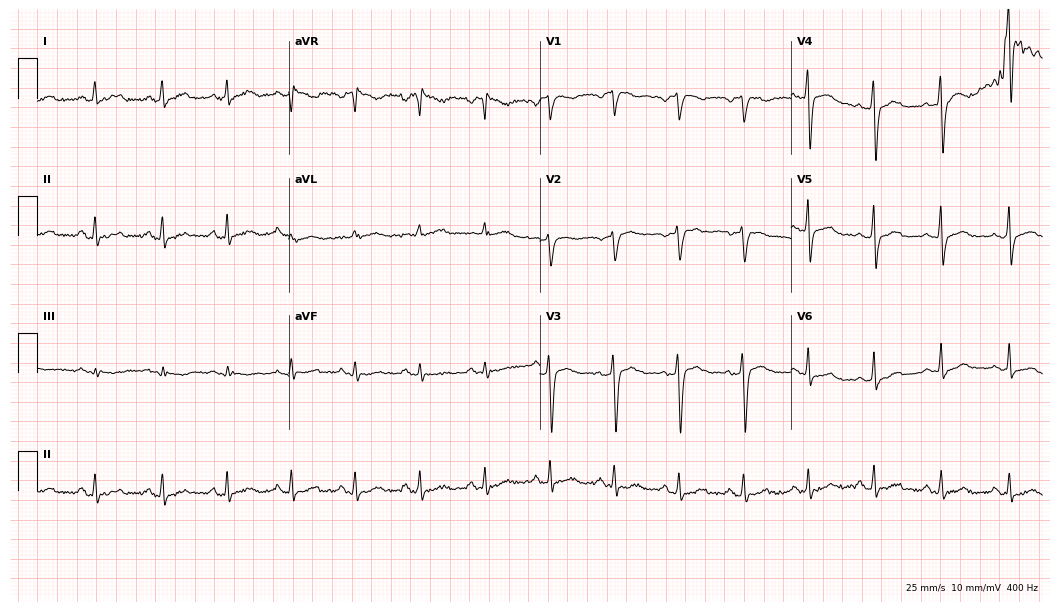
Standard 12-lead ECG recorded from a woman, 41 years old (10.2-second recording at 400 Hz). Read as a normal ECG.